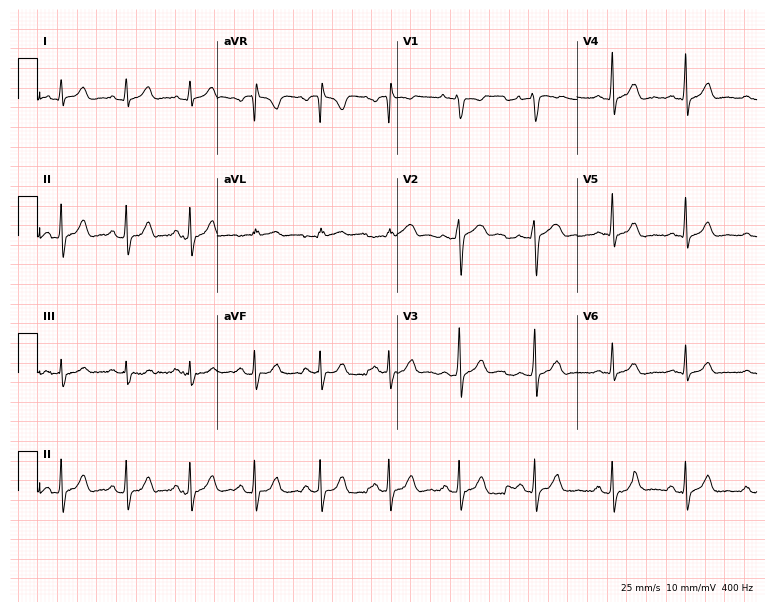
12-lead ECG from a male patient, 21 years old (7.3-second recording at 400 Hz). Recorded interpretation: within normal limits.